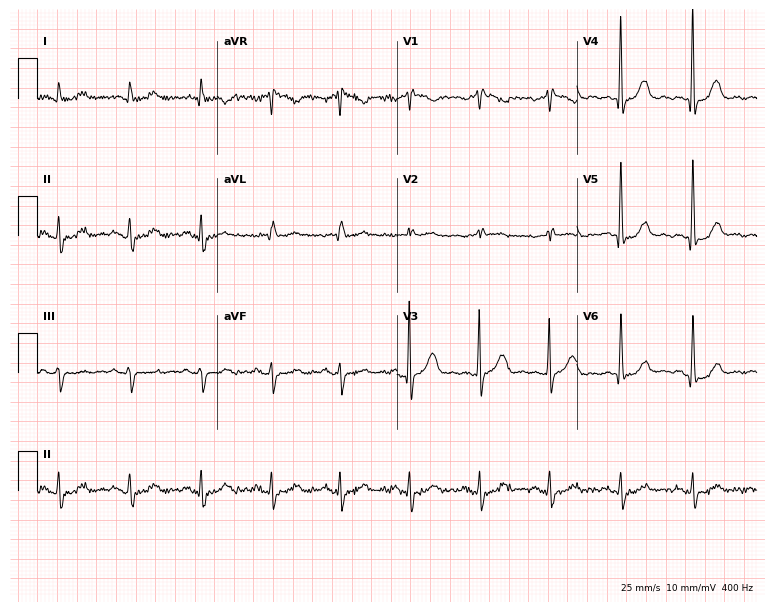
ECG (7.3-second recording at 400 Hz) — a 69-year-old male patient. Screened for six findings — first-degree AV block, right bundle branch block, left bundle branch block, sinus bradycardia, atrial fibrillation, sinus tachycardia — none is recorded.